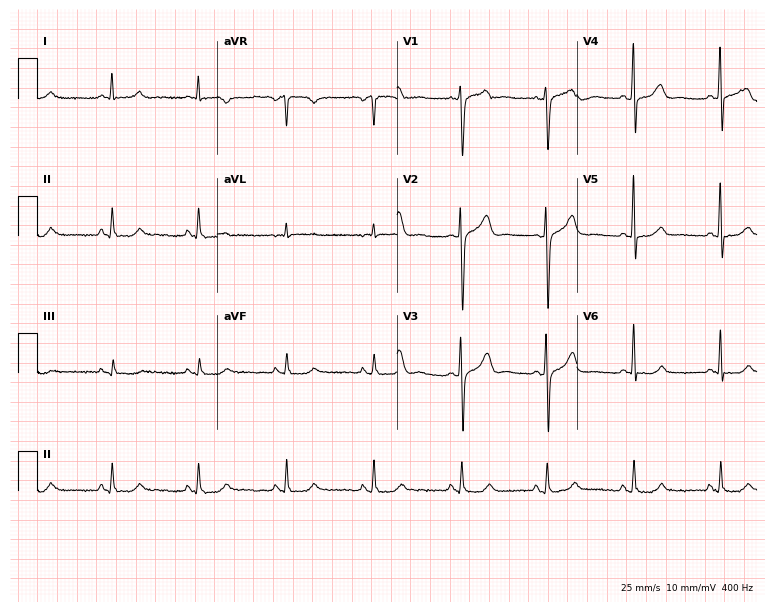
ECG (7.3-second recording at 400 Hz) — a 64-year-old male patient. Labelled as a normal ECG.